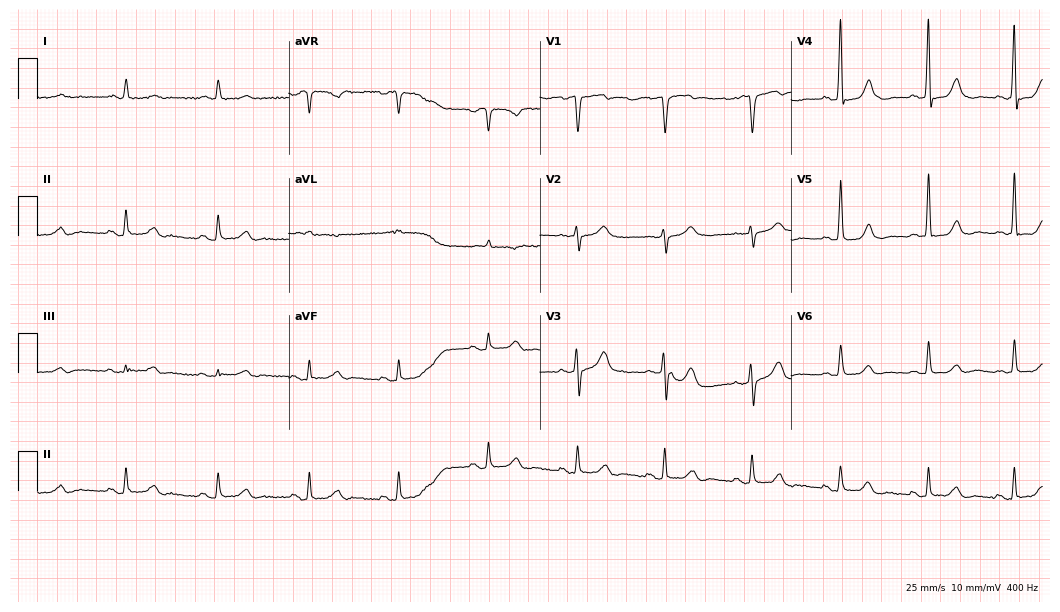
12-lead ECG (10.2-second recording at 400 Hz) from a male patient, 77 years old. Labelled as a normal ECG.